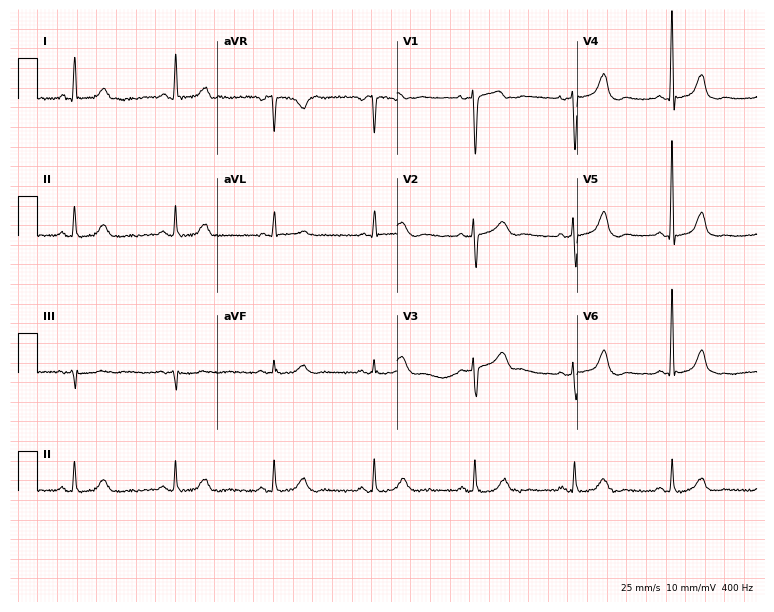
ECG — a 76-year-old female. Labelled as a normal ECG.